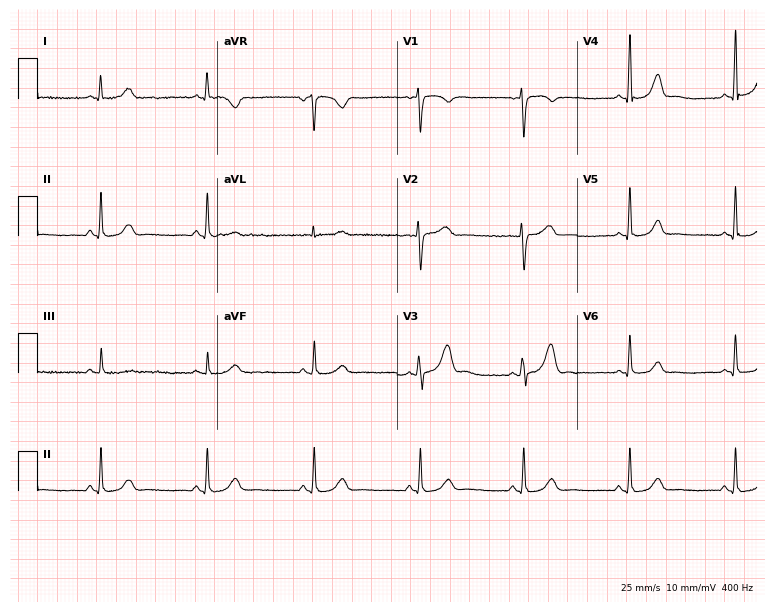
Resting 12-lead electrocardiogram (7.3-second recording at 400 Hz). Patient: a female, 38 years old. Read as a normal ECG.